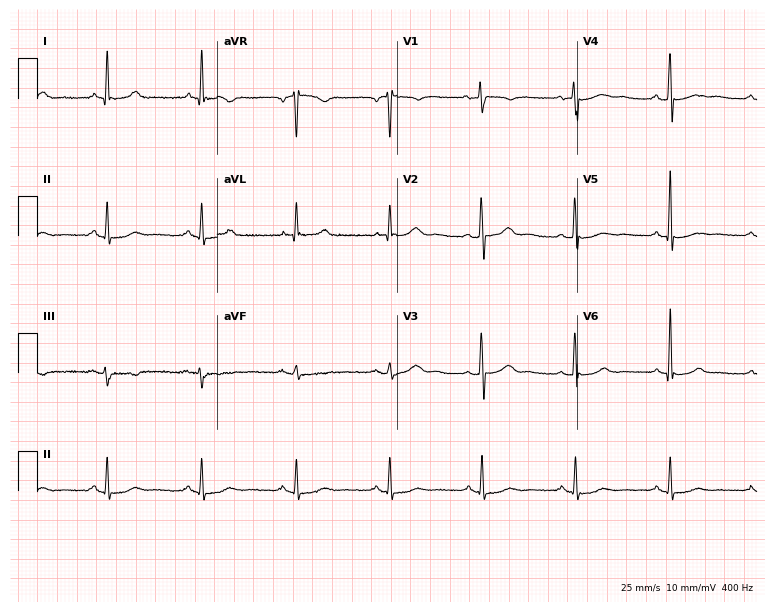
ECG (7.3-second recording at 400 Hz) — a 58-year-old female patient. Labelled as a normal ECG.